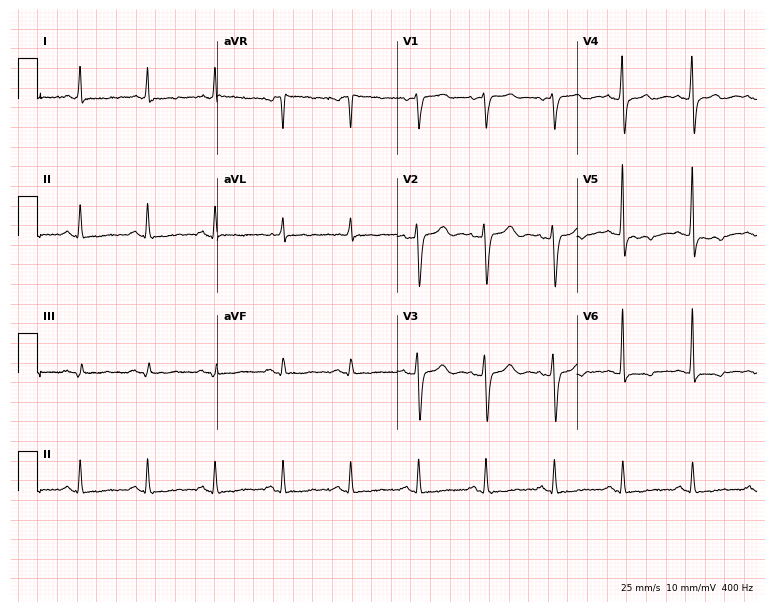
Standard 12-lead ECG recorded from a male, 67 years old. None of these six findings is recorded: first-degree AV block, right bundle branch block, left bundle branch block, sinus bradycardia, atrial fibrillation, sinus tachycardia.